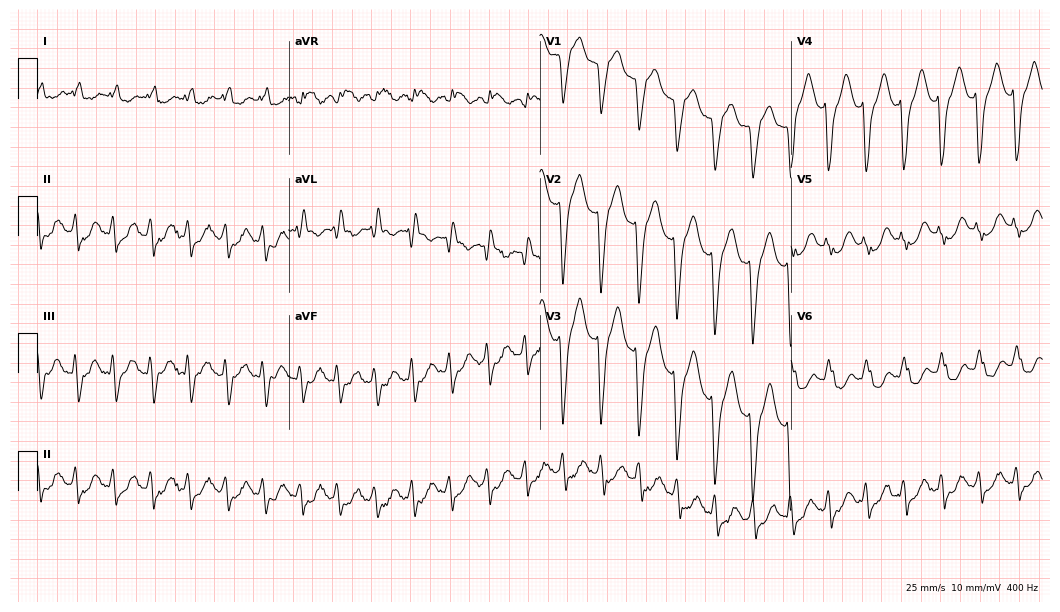
Standard 12-lead ECG recorded from a female, 66 years old (10.2-second recording at 400 Hz). None of these six findings is recorded: first-degree AV block, right bundle branch block (RBBB), left bundle branch block (LBBB), sinus bradycardia, atrial fibrillation (AF), sinus tachycardia.